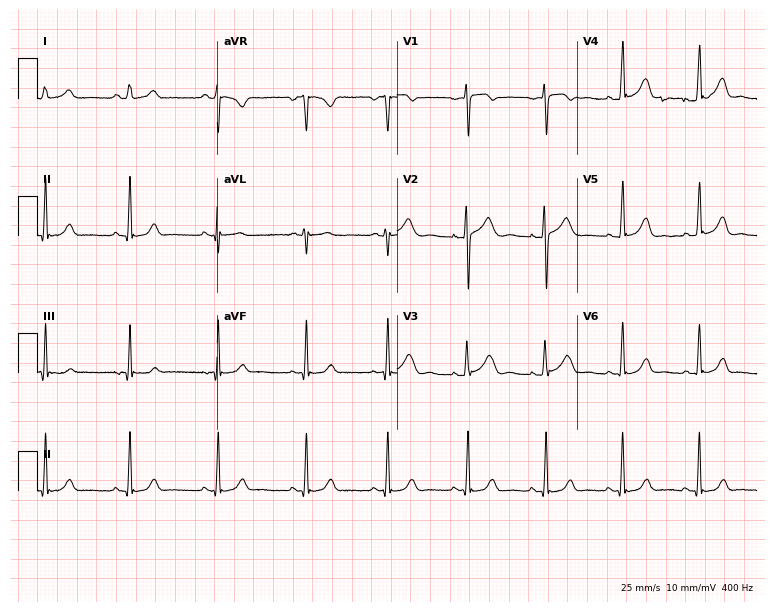
ECG (7.3-second recording at 400 Hz) — a woman, 27 years old. Labelled as a normal ECG.